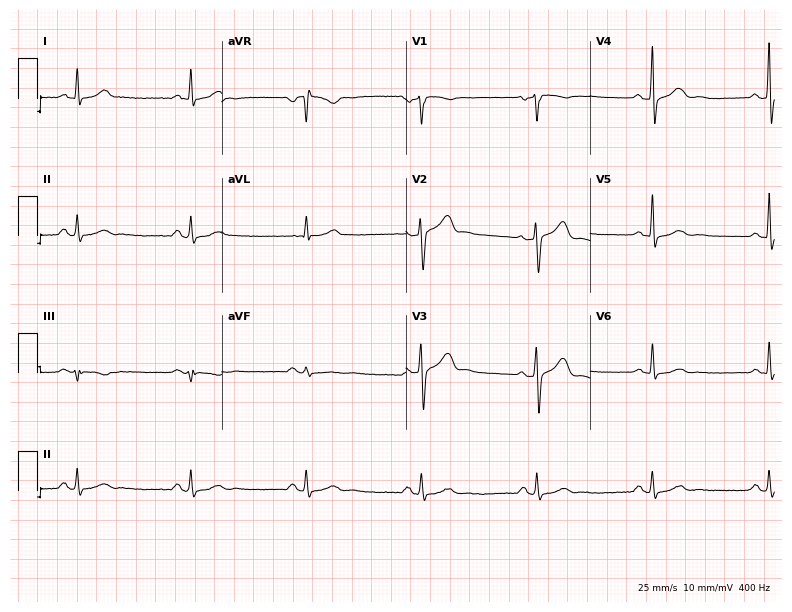
ECG (7.5-second recording at 400 Hz) — a man, 48 years old. Screened for six findings — first-degree AV block, right bundle branch block, left bundle branch block, sinus bradycardia, atrial fibrillation, sinus tachycardia — none is recorded. Only these six findings were labelled.